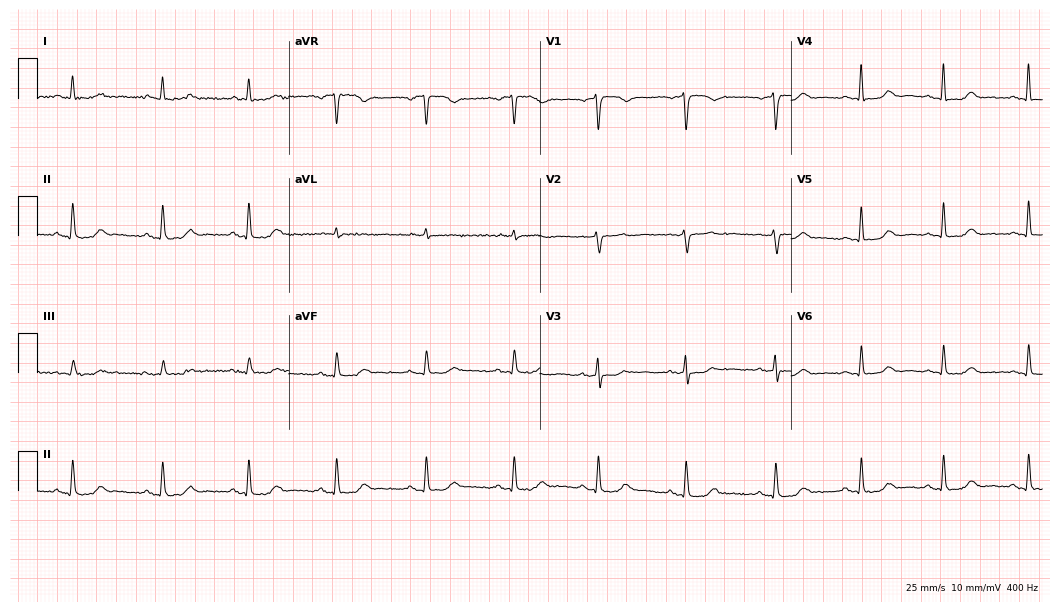
Resting 12-lead electrocardiogram. Patient: a female, 59 years old. Read as a normal ECG.